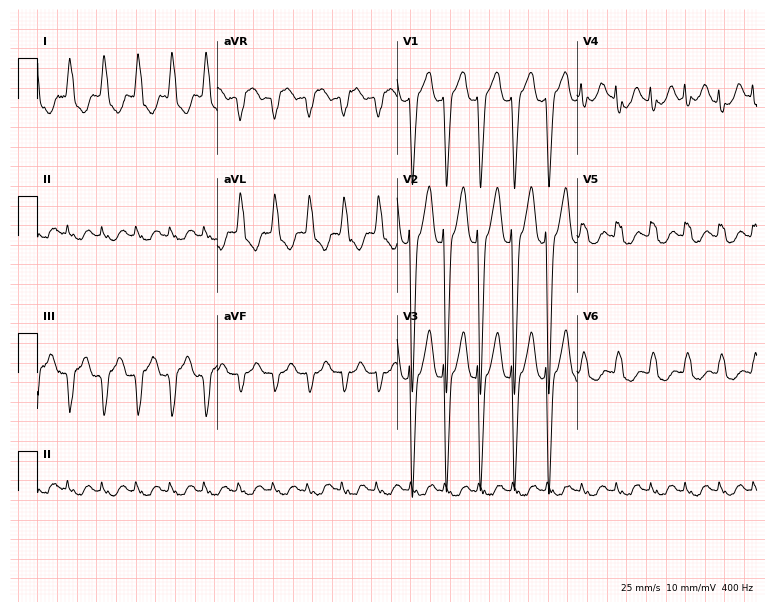
ECG — a 52-year-old female. Screened for six findings — first-degree AV block, right bundle branch block, left bundle branch block, sinus bradycardia, atrial fibrillation, sinus tachycardia — none is recorded.